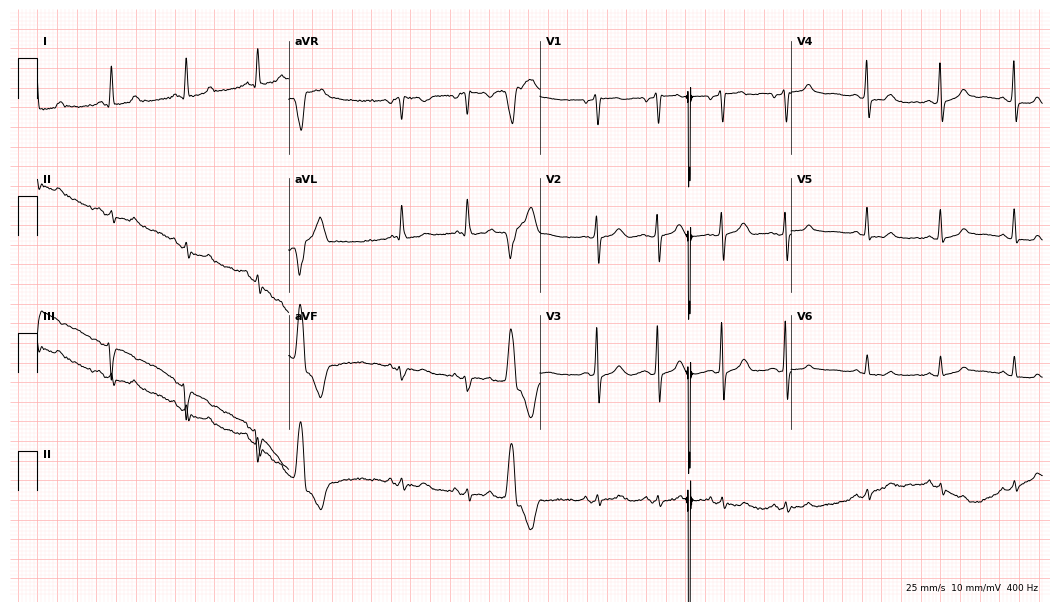
Standard 12-lead ECG recorded from a woman, 60 years old. None of these six findings is recorded: first-degree AV block, right bundle branch block (RBBB), left bundle branch block (LBBB), sinus bradycardia, atrial fibrillation (AF), sinus tachycardia.